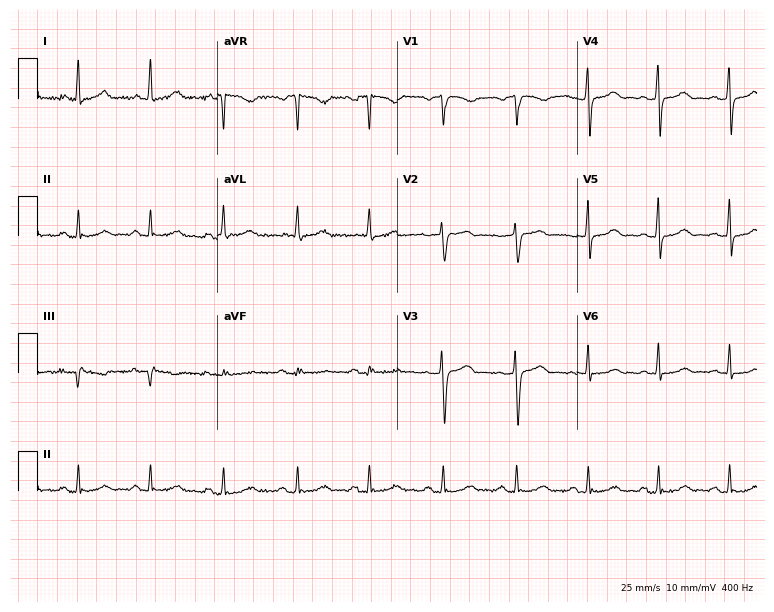
ECG (7.3-second recording at 400 Hz) — a 50-year-old female. Labelled as a normal ECG.